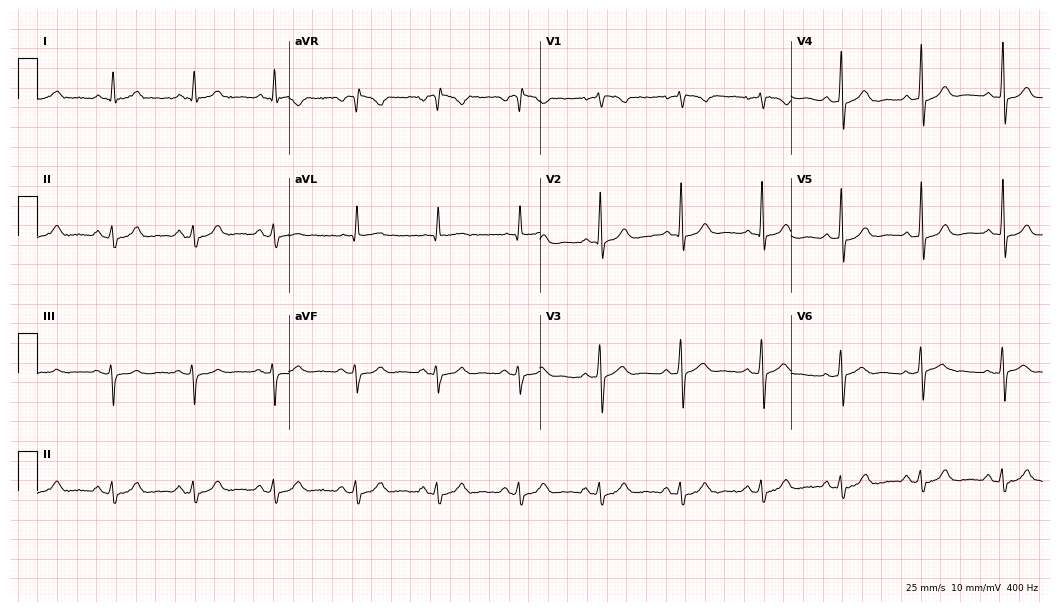
Electrocardiogram, a male patient, 66 years old. Overall reading on record: normal ECG.